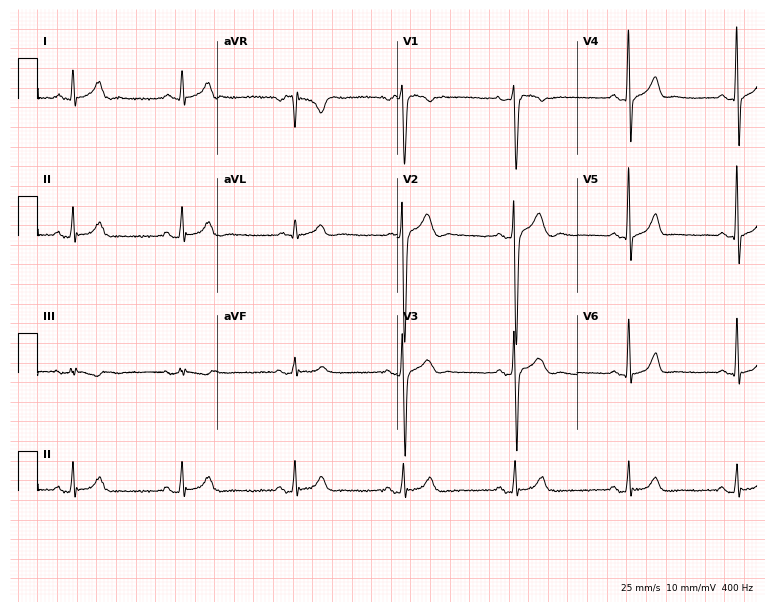
ECG — a 35-year-old man. Screened for six findings — first-degree AV block, right bundle branch block (RBBB), left bundle branch block (LBBB), sinus bradycardia, atrial fibrillation (AF), sinus tachycardia — none is recorded. Other findings, if any, are not listed.